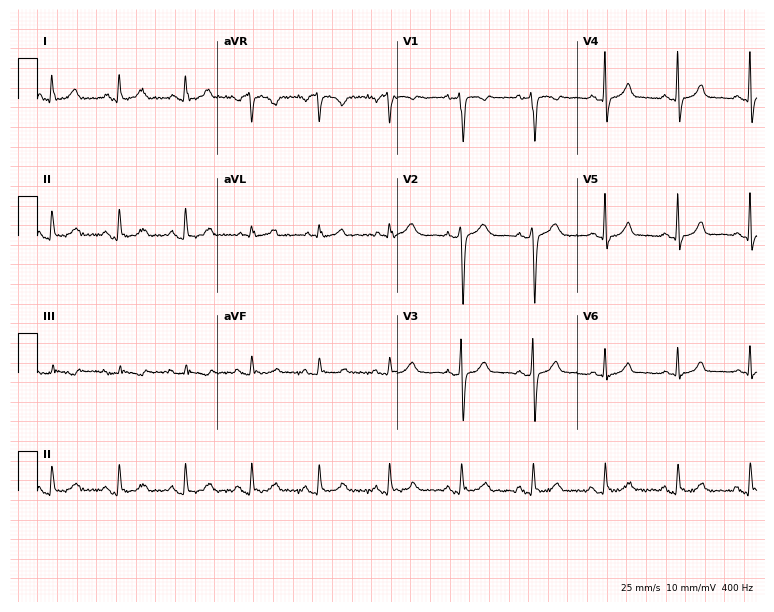
Resting 12-lead electrocardiogram. Patient: a 48-year-old woman. None of these six findings is recorded: first-degree AV block, right bundle branch block, left bundle branch block, sinus bradycardia, atrial fibrillation, sinus tachycardia.